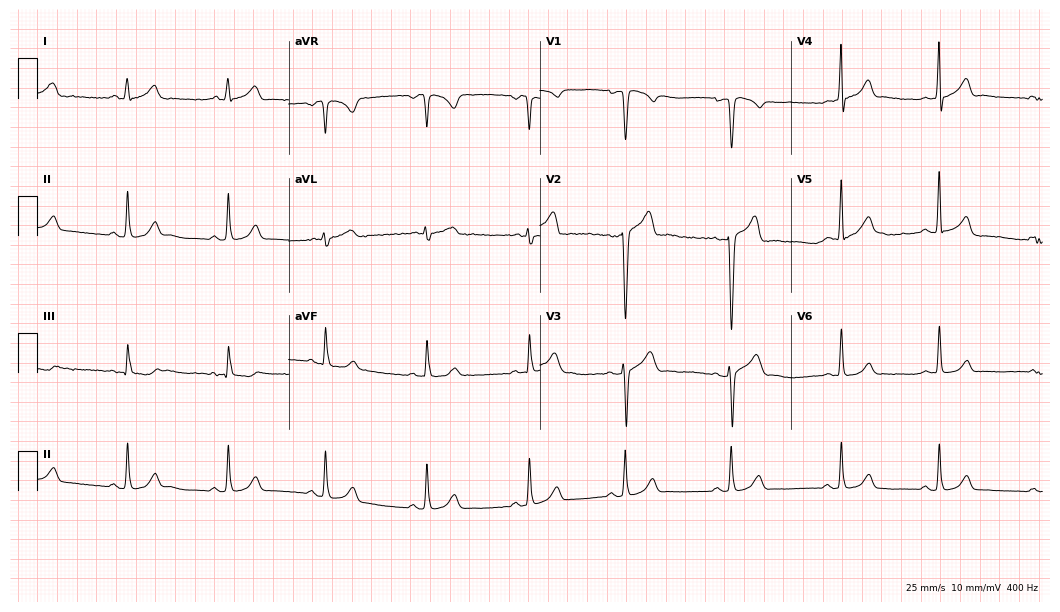
Standard 12-lead ECG recorded from a 38-year-old male patient (10.2-second recording at 400 Hz). Read as a normal ECG.